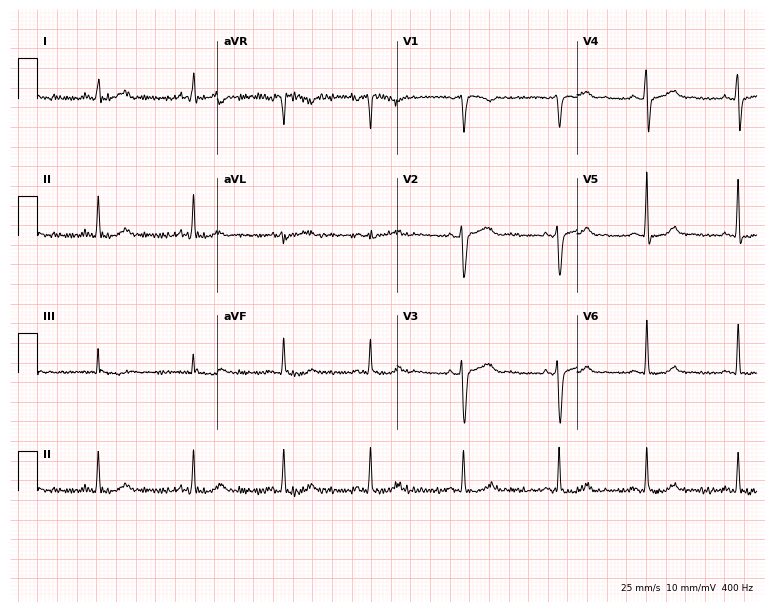
12-lead ECG from a woman, 40 years old (7.3-second recording at 400 Hz). Recorded interpretation: within normal limits.